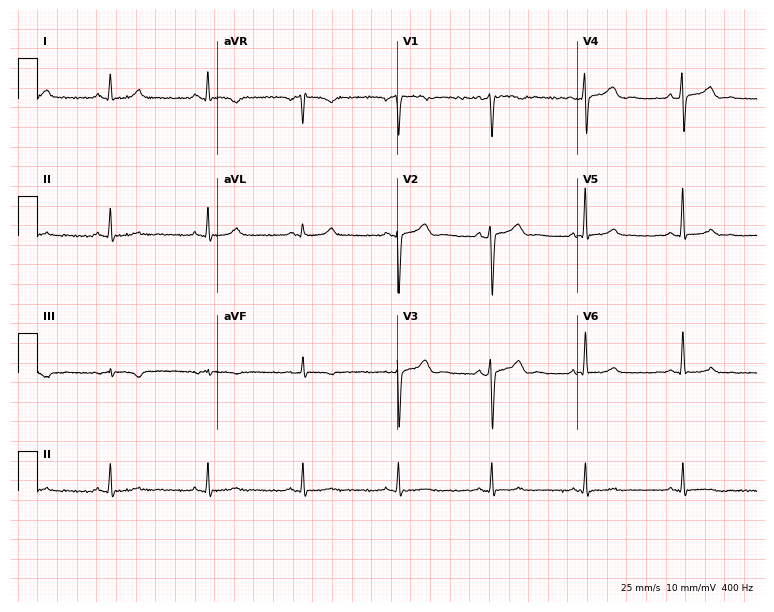
Resting 12-lead electrocardiogram. Patient: a 47-year-old man. None of these six findings is recorded: first-degree AV block, right bundle branch block, left bundle branch block, sinus bradycardia, atrial fibrillation, sinus tachycardia. Only these six findings were labelled.